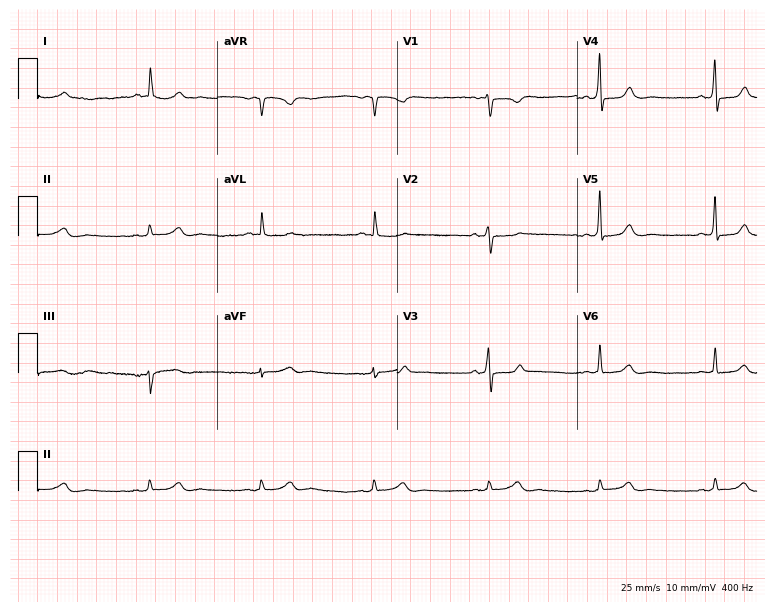
Standard 12-lead ECG recorded from a woman, 68 years old. None of these six findings is recorded: first-degree AV block, right bundle branch block (RBBB), left bundle branch block (LBBB), sinus bradycardia, atrial fibrillation (AF), sinus tachycardia.